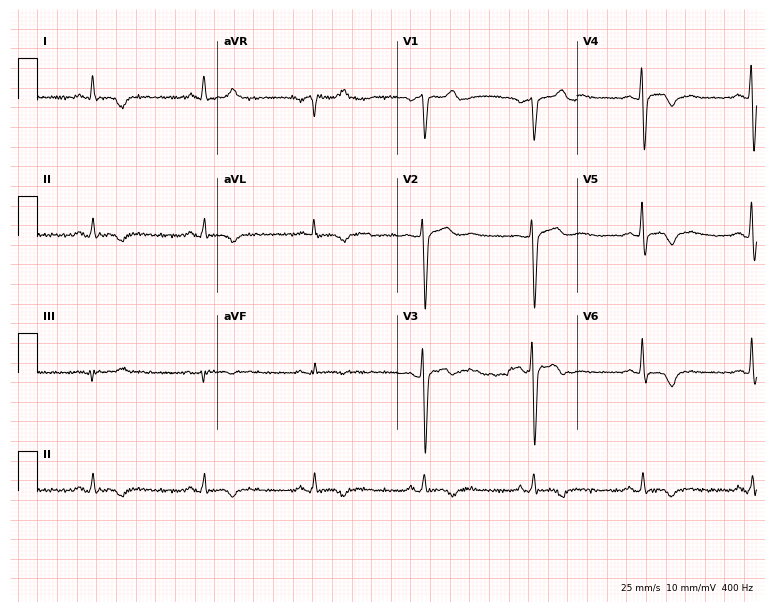
12-lead ECG from a 62-year-old male patient (7.3-second recording at 400 Hz). No first-degree AV block, right bundle branch block (RBBB), left bundle branch block (LBBB), sinus bradycardia, atrial fibrillation (AF) or sinus tachycardia recorded for this tracing.